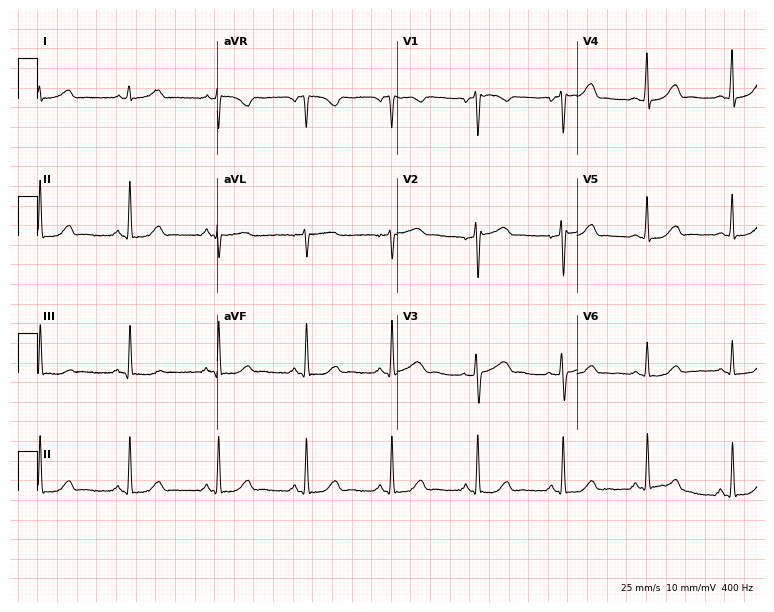
Resting 12-lead electrocardiogram. Patient: a woman, 34 years old. Read as a normal ECG.